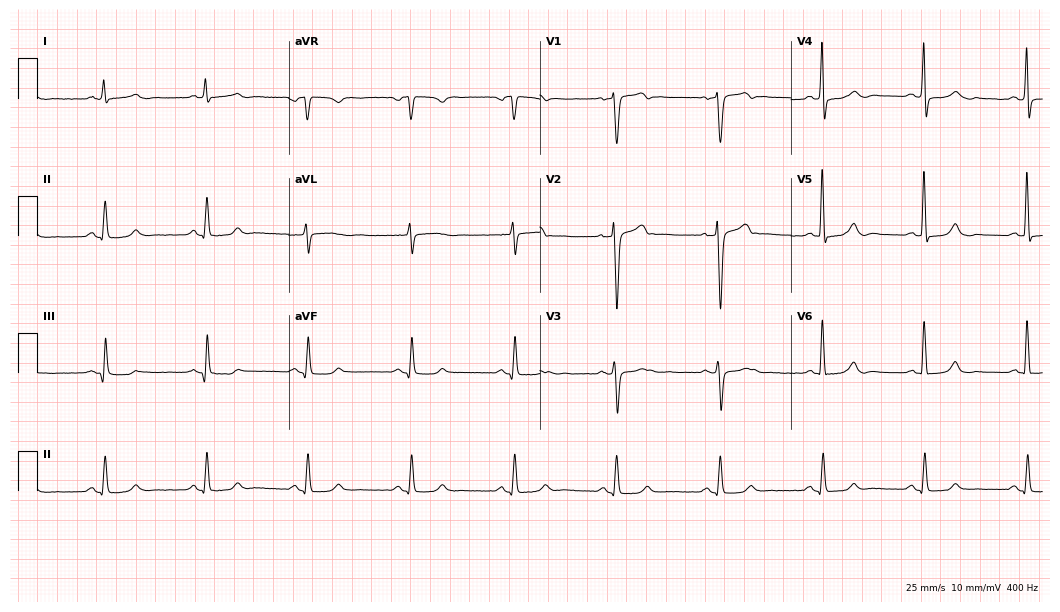
12-lead ECG (10.2-second recording at 400 Hz) from a 68-year-old male. Labelled as a normal ECG.